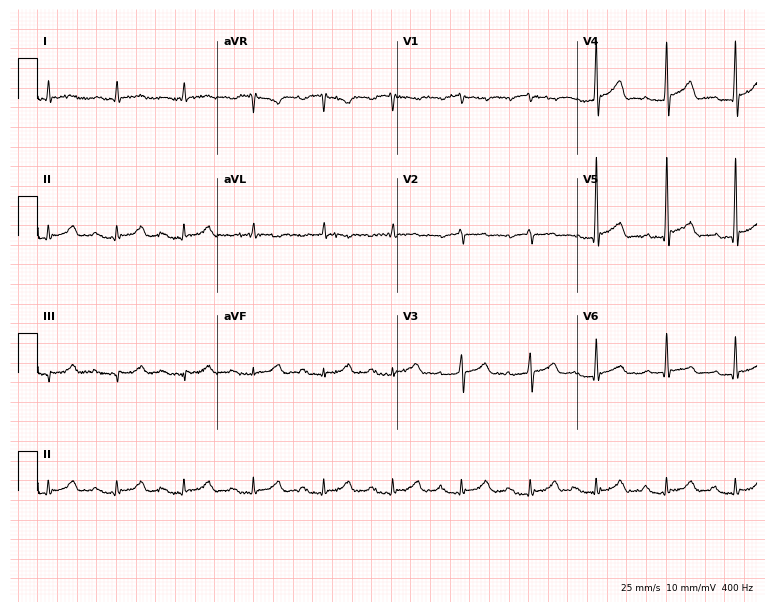
12-lead ECG from a male, 74 years old. Findings include first-degree AV block.